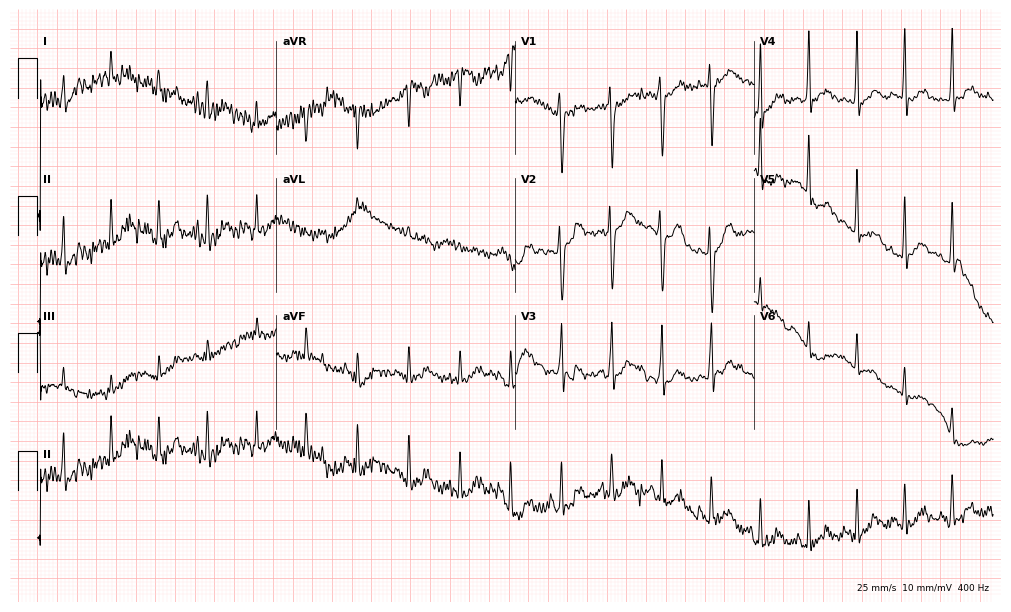
Standard 12-lead ECG recorded from a man, 26 years old. None of these six findings is recorded: first-degree AV block, right bundle branch block, left bundle branch block, sinus bradycardia, atrial fibrillation, sinus tachycardia. Other findings, if any, are not listed.